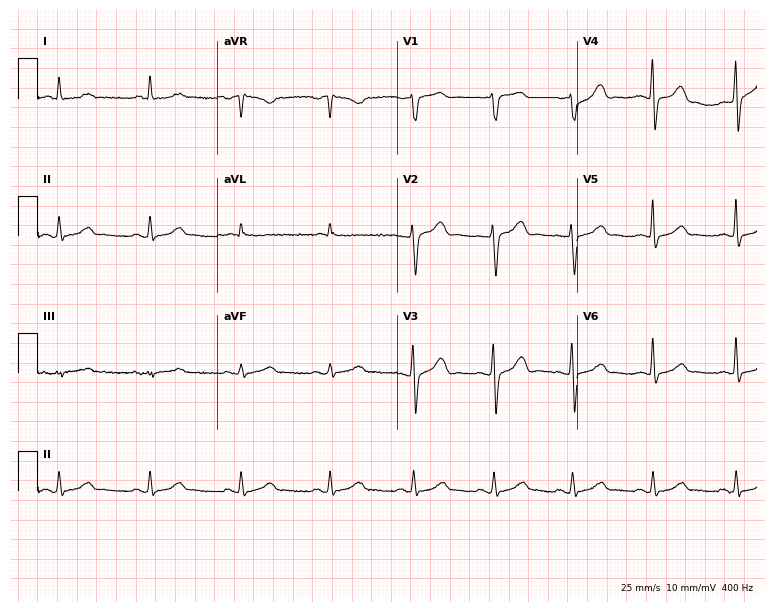
Electrocardiogram, a man, 58 years old. Overall reading on record: normal ECG.